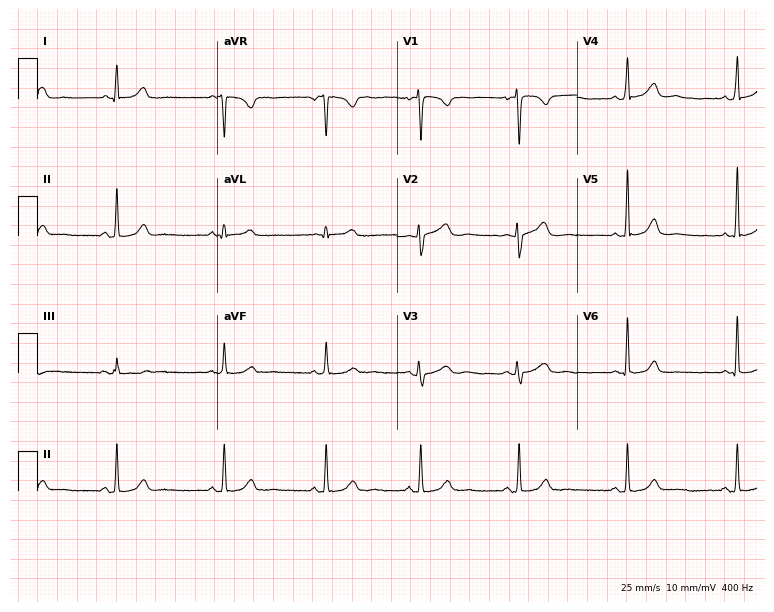
Electrocardiogram (7.3-second recording at 400 Hz), a woman, 35 years old. Of the six screened findings (first-degree AV block, right bundle branch block, left bundle branch block, sinus bradycardia, atrial fibrillation, sinus tachycardia), none is recorded. Only these six findings were labelled.